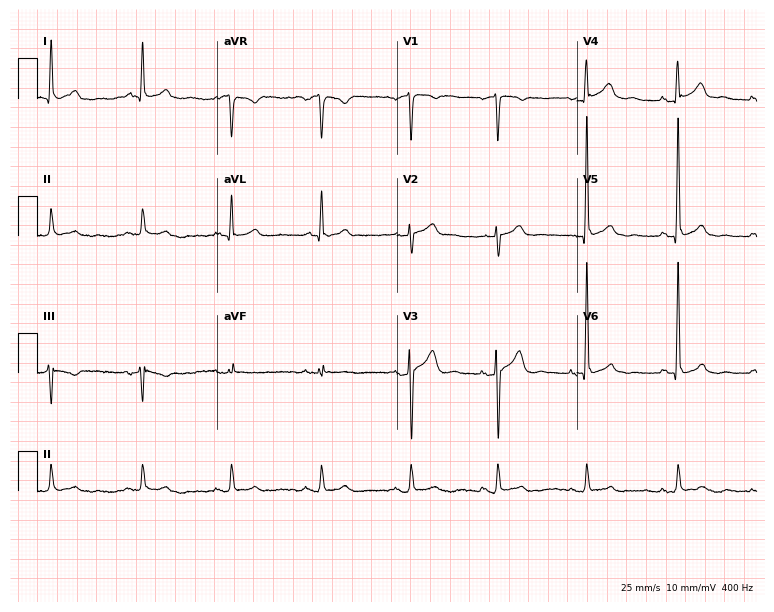
12-lead ECG from a 57-year-old male. Screened for six findings — first-degree AV block, right bundle branch block, left bundle branch block, sinus bradycardia, atrial fibrillation, sinus tachycardia — none is recorded. Findings outside these six are not listed.